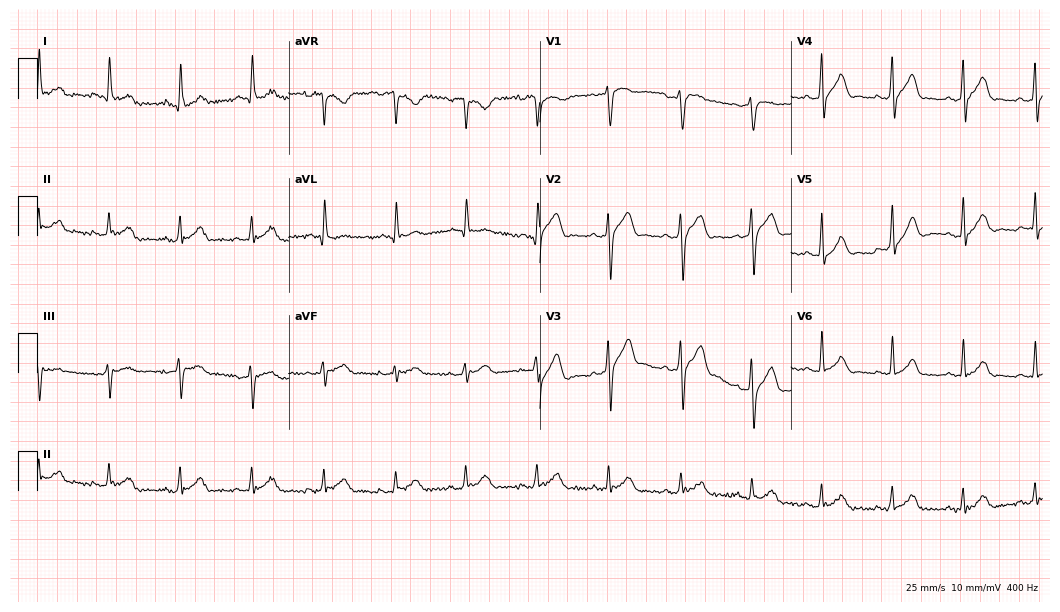
Resting 12-lead electrocardiogram (10.2-second recording at 400 Hz). Patient: a 46-year-old male. Read as a normal ECG.